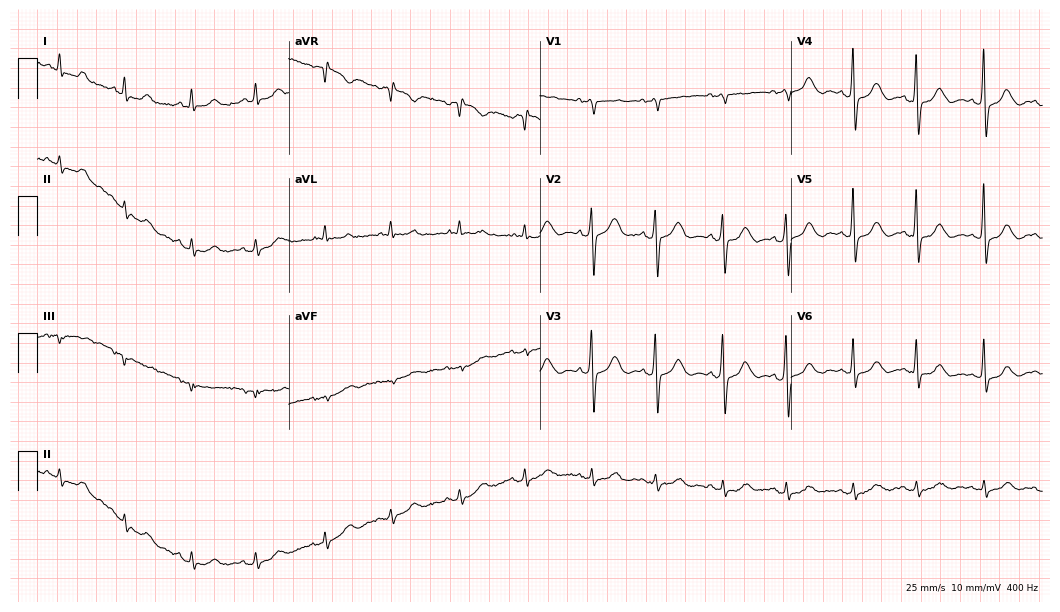
Standard 12-lead ECG recorded from a woman, 68 years old. None of these six findings is recorded: first-degree AV block, right bundle branch block, left bundle branch block, sinus bradycardia, atrial fibrillation, sinus tachycardia. Only these six findings were labelled.